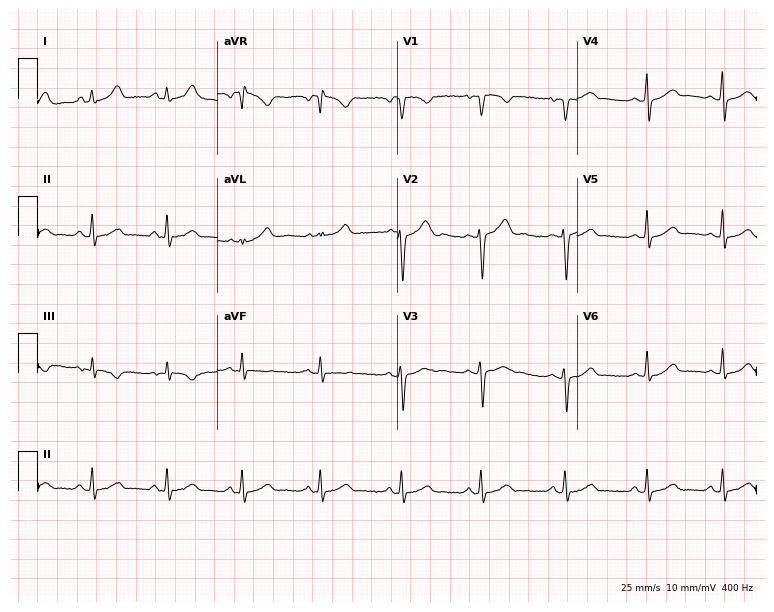
Electrocardiogram (7.3-second recording at 400 Hz), a 22-year-old female. Of the six screened findings (first-degree AV block, right bundle branch block (RBBB), left bundle branch block (LBBB), sinus bradycardia, atrial fibrillation (AF), sinus tachycardia), none is recorded. Only these six findings were labelled.